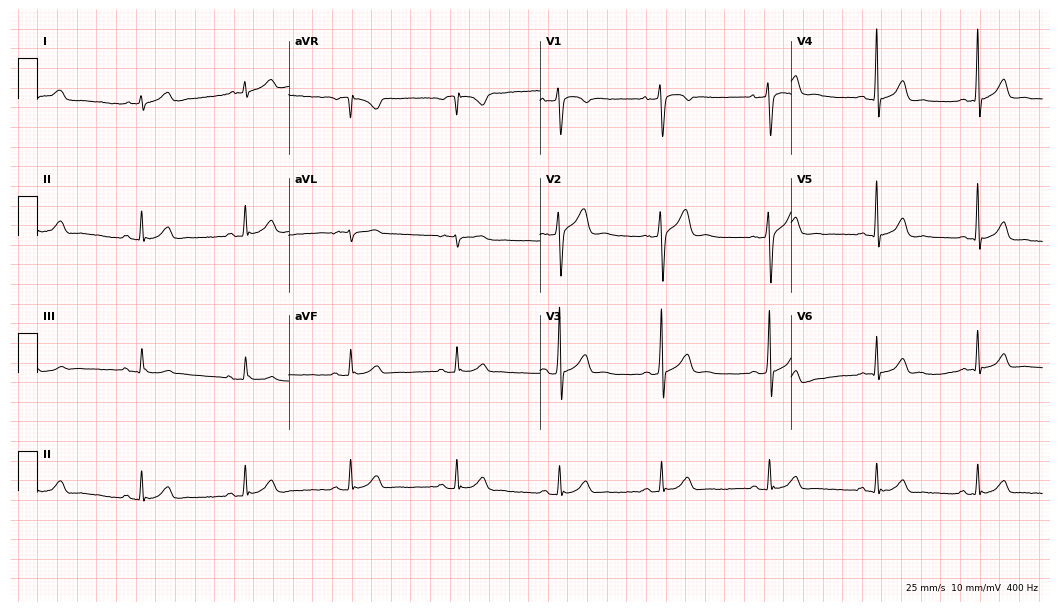
Resting 12-lead electrocardiogram. Patient: a man, 37 years old. Read as a normal ECG.